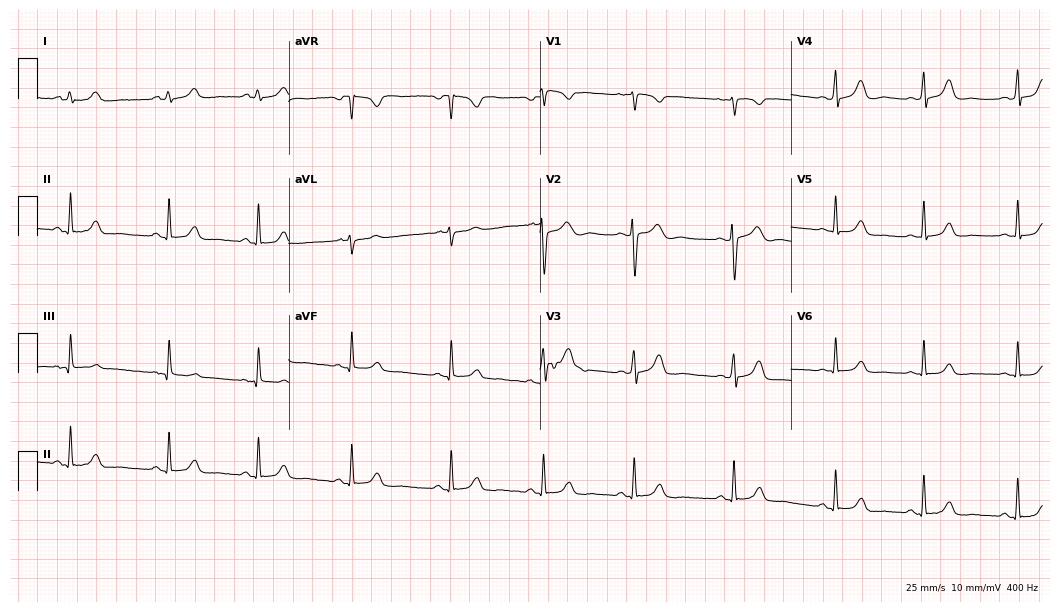
Resting 12-lead electrocardiogram. Patient: a female, 22 years old. None of these six findings is recorded: first-degree AV block, right bundle branch block, left bundle branch block, sinus bradycardia, atrial fibrillation, sinus tachycardia. Other findings, if any, are not listed.